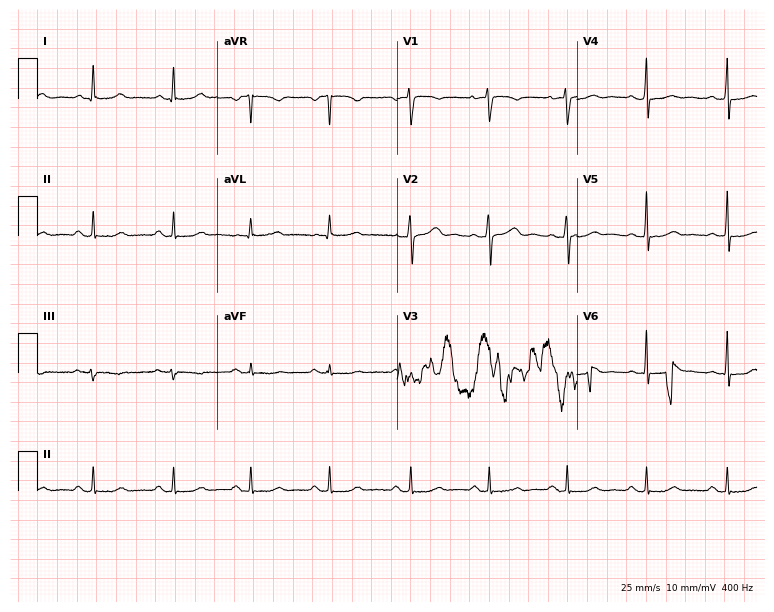
Resting 12-lead electrocardiogram. Patient: a woman, 33 years old. None of these six findings is recorded: first-degree AV block, right bundle branch block, left bundle branch block, sinus bradycardia, atrial fibrillation, sinus tachycardia. Other findings, if any, are not listed.